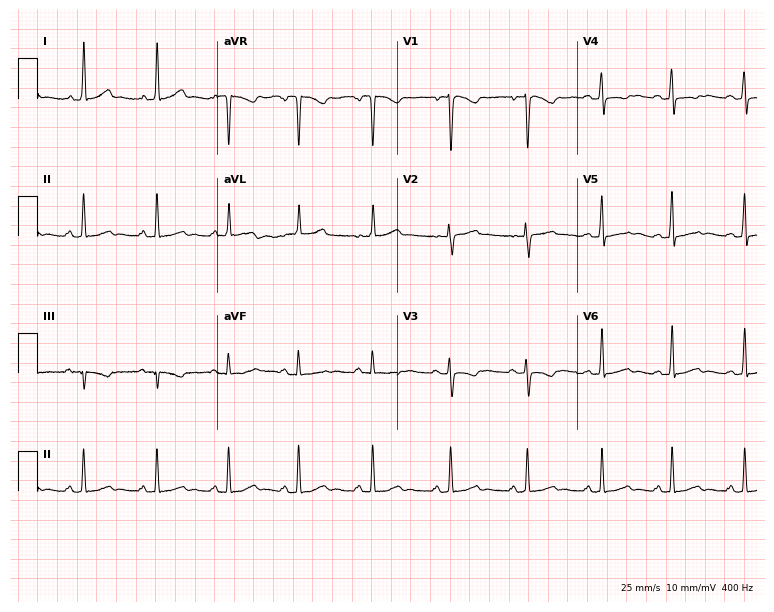
ECG (7.3-second recording at 400 Hz) — a 23-year-old woman. Labelled as a normal ECG.